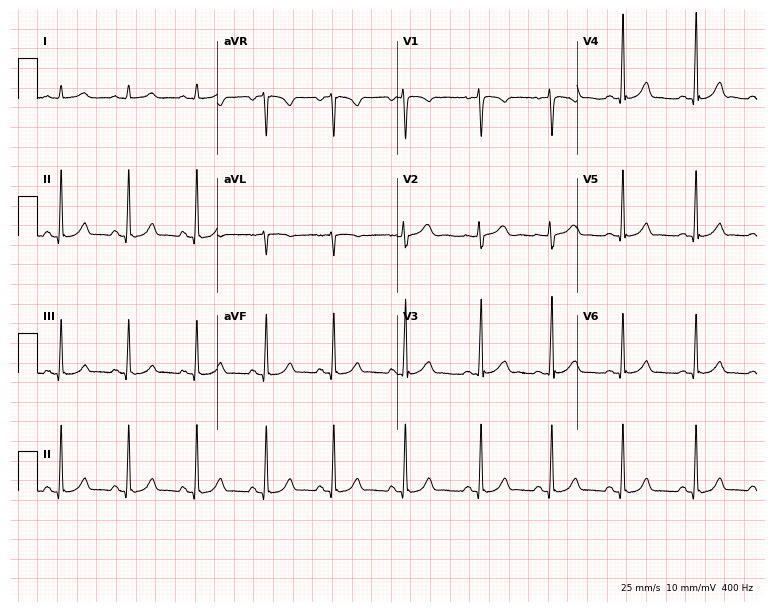
12-lead ECG (7.3-second recording at 400 Hz) from a 22-year-old woman. Labelled as a normal ECG.